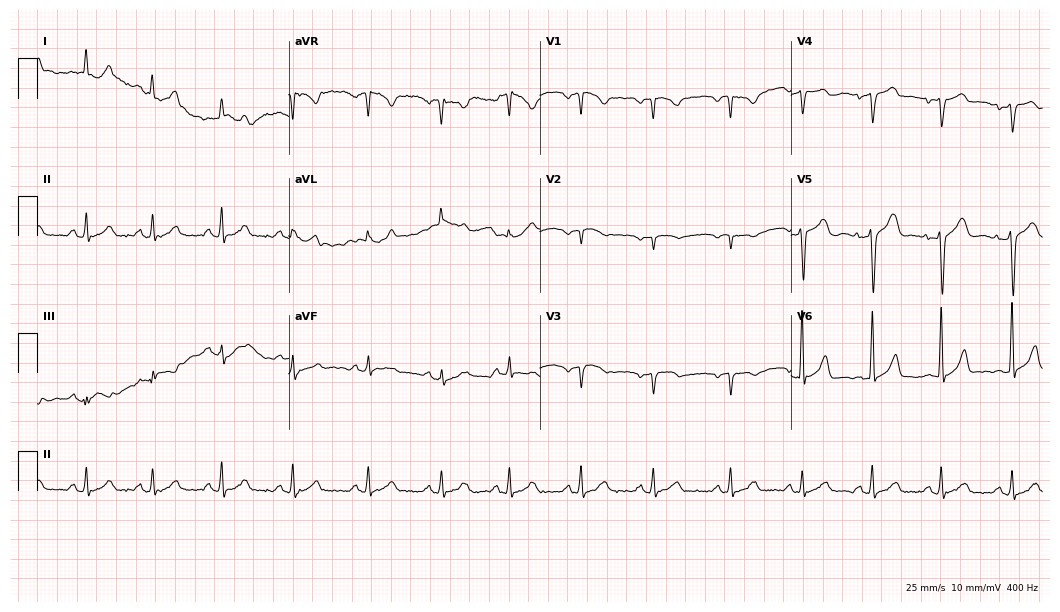
ECG — a 37-year-old female. Labelled as a normal ECG.